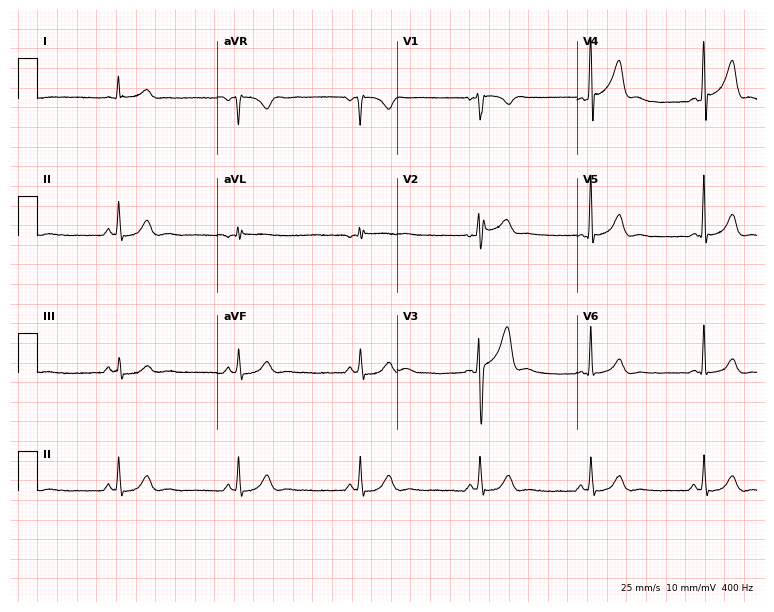
Standard 12-lead ECG recorded from a male patient, 52 years old. The tracing shows sinus bradycardia (a sinus rate of 50 beats per minute or less).